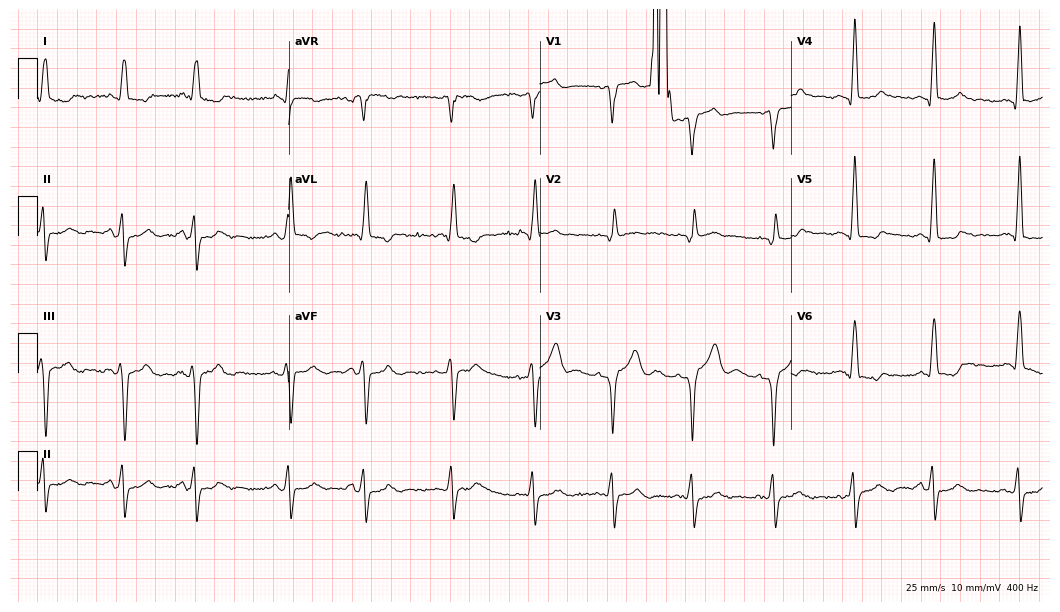
12-lead ECG from a 67-year-old male patient. Screened for six findings — first-degree AV block, right bundle branch block, left bundle branch block, sinus bradycardia, atrial fibrillation, sinus tachycardia — none is recorded. Only these six findings were labelled.